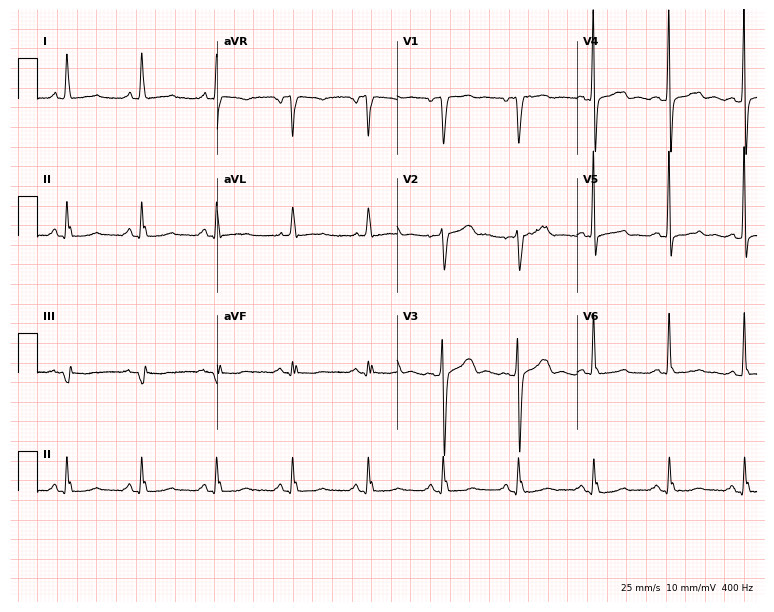
12-lead ECG from a female patient, 80 years old. Labelled as a normal ECG.